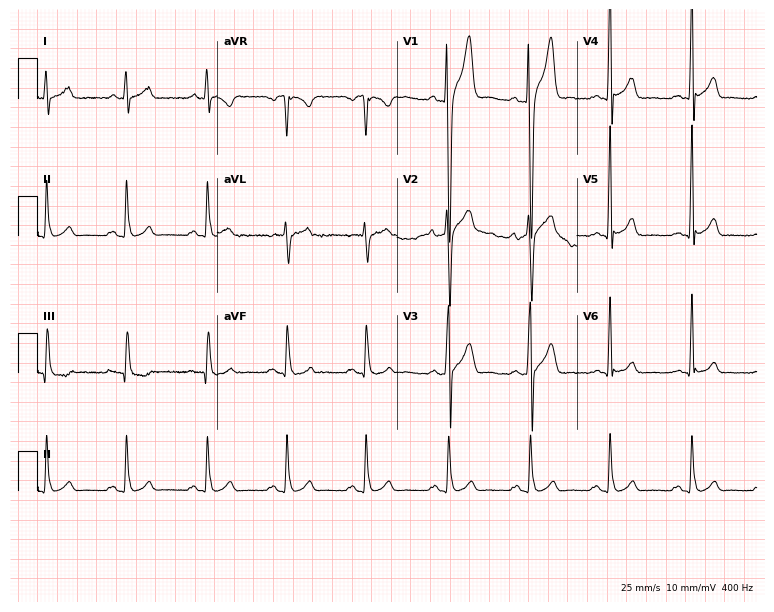
Standard 12-lead ECG recorded from a 27-year-old male. Read as a normal ECG.